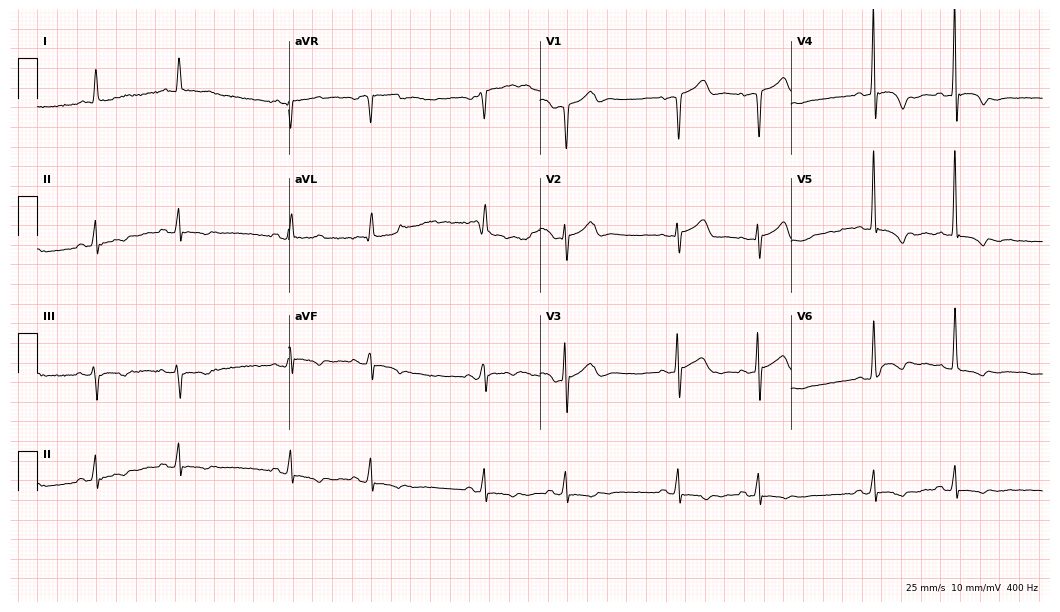
12-lead ECG (10.2-second recording at 400 Hz) from a 74-year-old male patient. Screened for six findings — first-degree AV block, right bundle branch block, left bundle branch block, sinus bradycardia, atrial fibrillation, sinus tachycardia — none is recorded. Other findings, if any, are not listed.